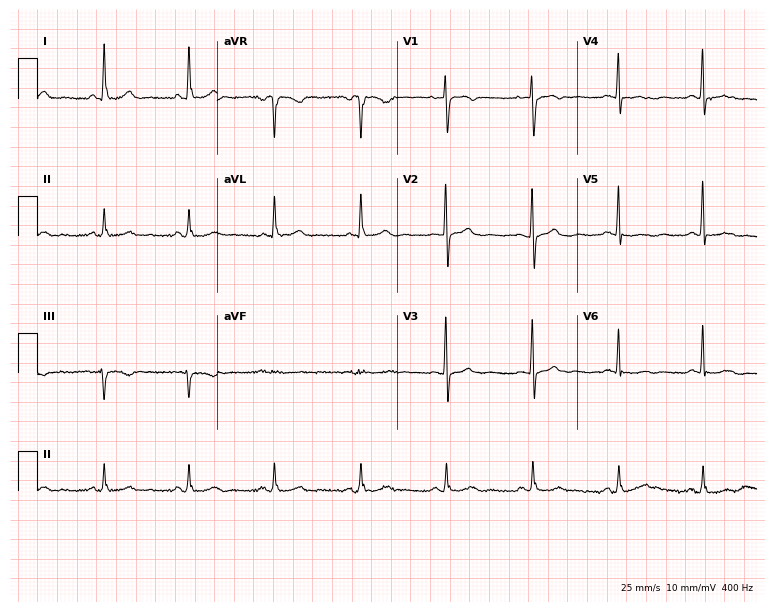
ECG — a 72-year-old female patient. Screened for six findings — first-degree AV block, right bundle branch block, left bundle branch block, sinus bradycardia, atrial fibrillation, sinus tachycardia — none is recorded. Findings outside these six are not listed.